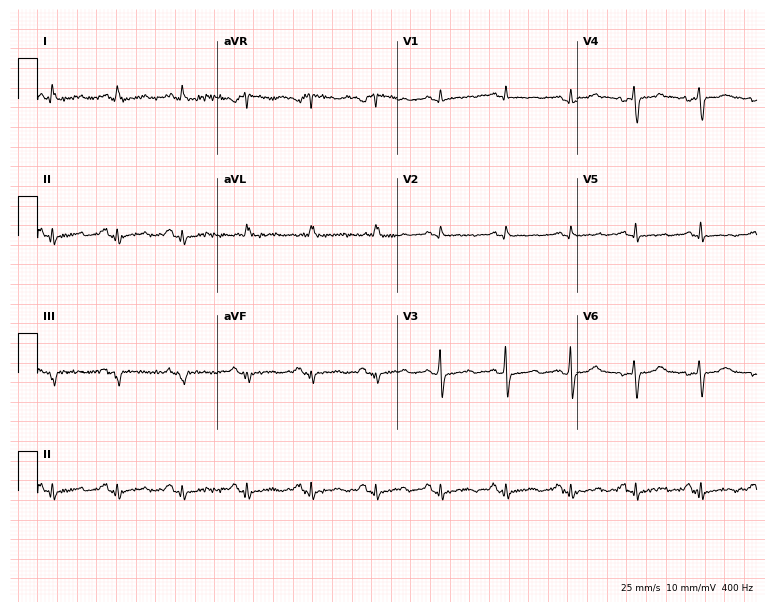
12-lead ECG (7.3-second recording at 400 Hz) from a woman, 50 years old. Screened for six findings — first-degree AV block, right bundle branch block (RBBB), left bundle branch block (LBBB), sinus bradycardia, atrial fibrillation (AF), sinus tachycardia — none is recorded. Other findings, if any, are not listed.